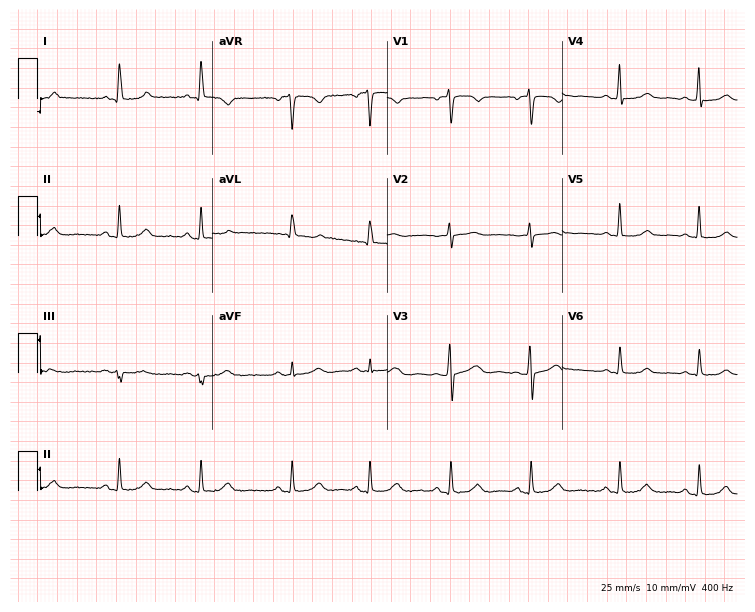
12-lead ECG from a female, 62 years old. No first-degree AV block, right bundle branch block, left bundle branch block, sinus bradycardia, atrial fibrillation or sinus tachycardia recorded for this tracing.